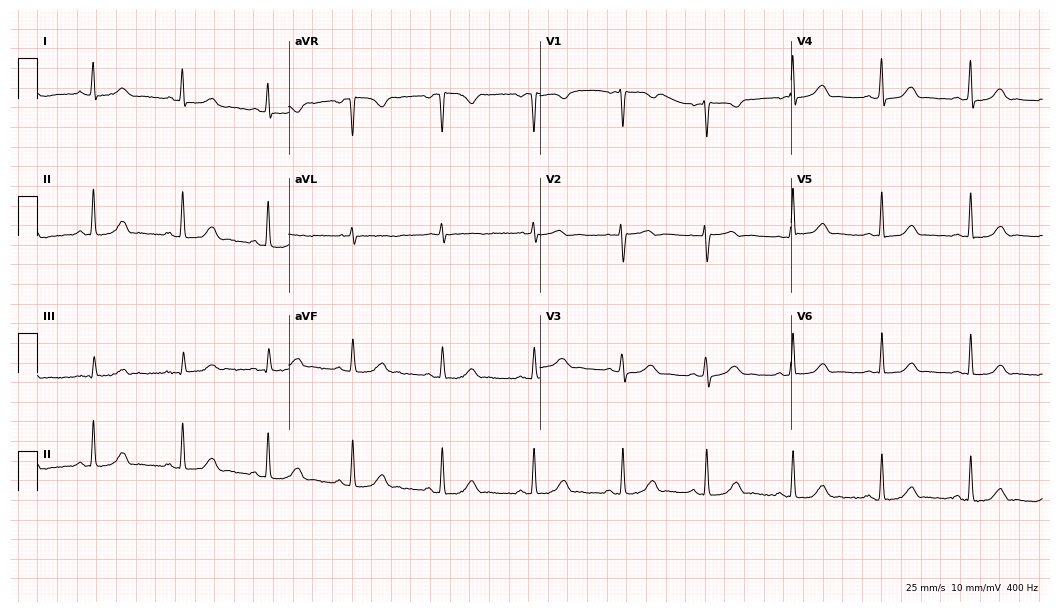
Electrocardiogram, a 40-year-old female. Overall reading on record: normal ECG.